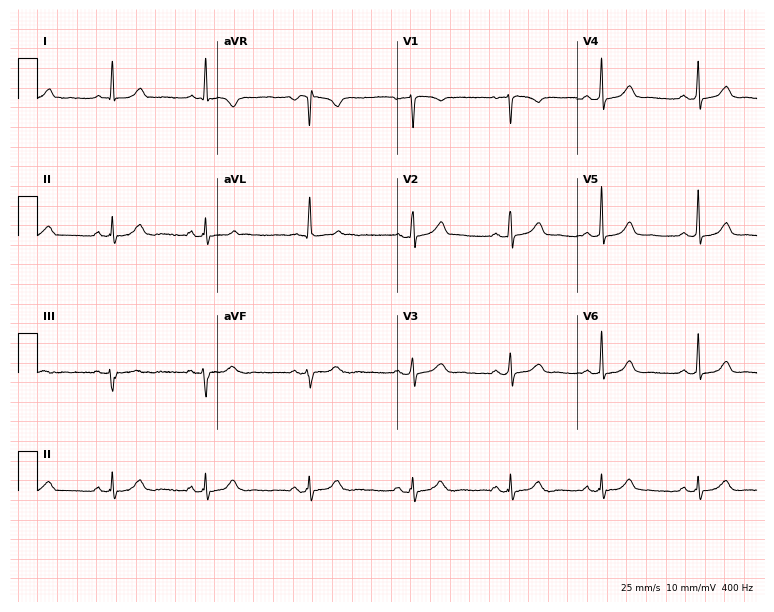
Standard 12-lead ECG recorded from a 43-year-old woman. Read as a normal ECG.